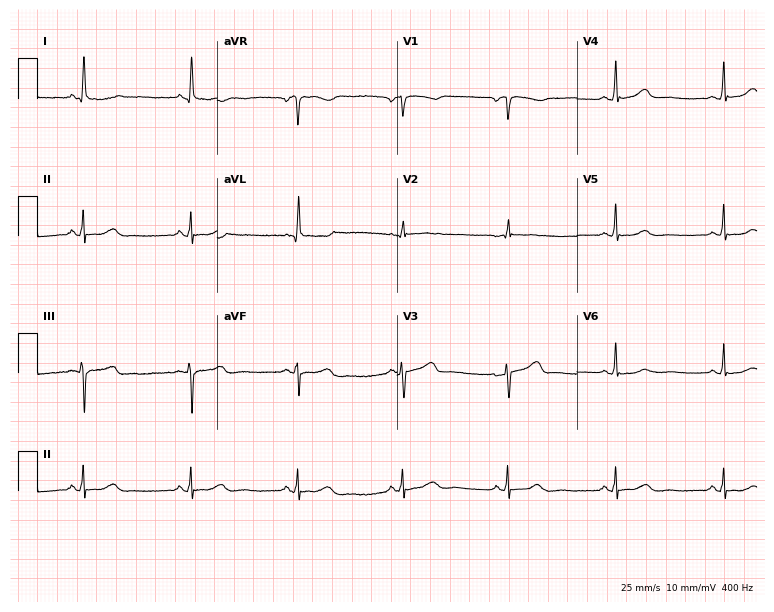
12-lead ECG from a female patient, 61 years old (7.3-second recording at 400 Hz). Recorded interpretation: within normal limits.